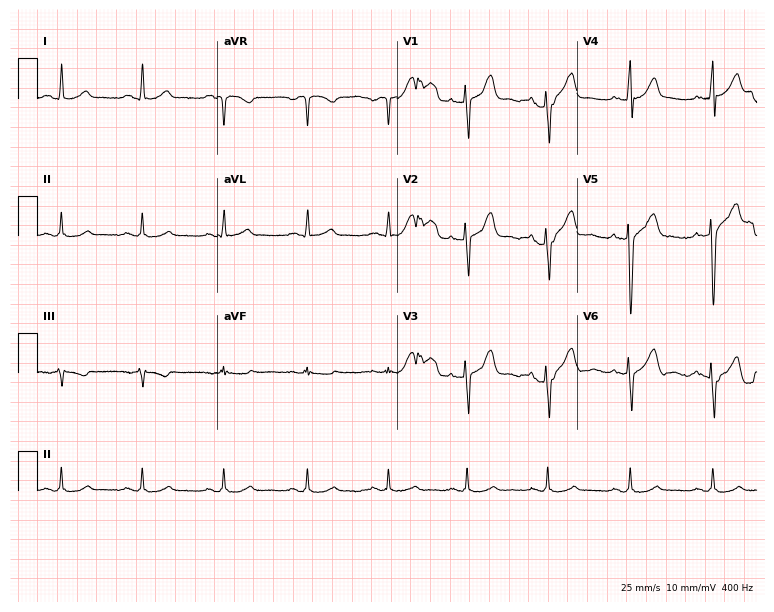
12-lead ECG (7.3-second recording at 400 Hz) from a 46-year-old male. Screened for six findings — first-degree AV block, right bundle branch block (RBBB), left bundle branch block (LBBB), sinus bradycardia, atrial fibrillation (AF), sinus tachycardia — none is recorded. Other findings, if any, are not listed.